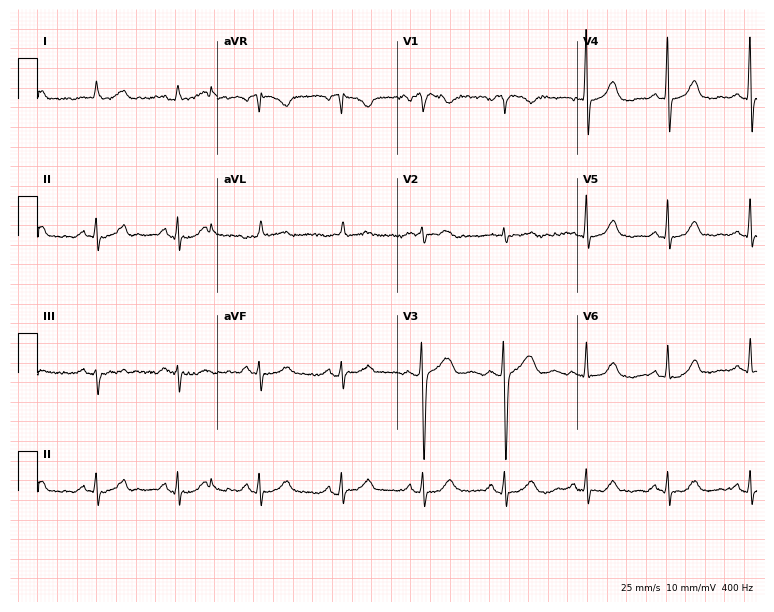
12-lead ECG from a male, 62 years old (7.3-second recording at 400 Hz). Recorded interpretation: within normal limits.